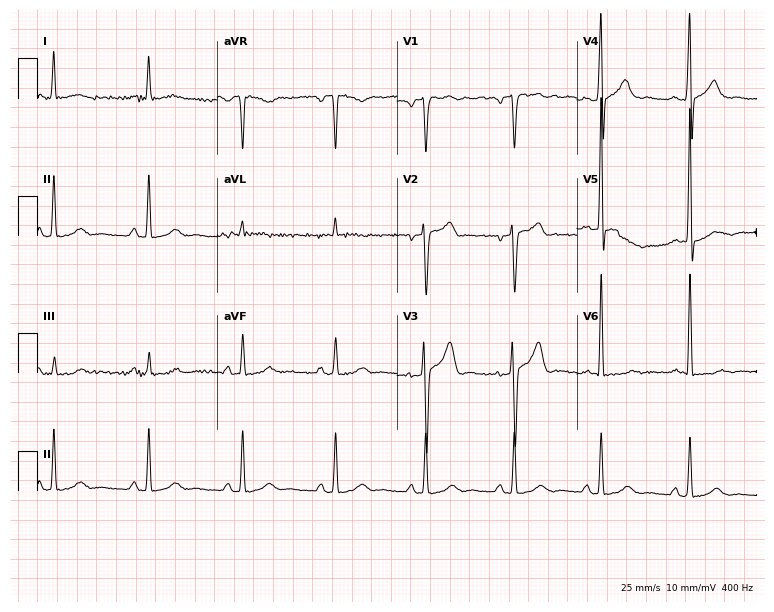
Electrocardiogram, a female patient, 53 years old. Of the six screened findings (first-degree AV block, right bundle branch block, left bundle branch block, sinus bradycardia, atrial fibrillation, sinus tachycardia), none is recorded.